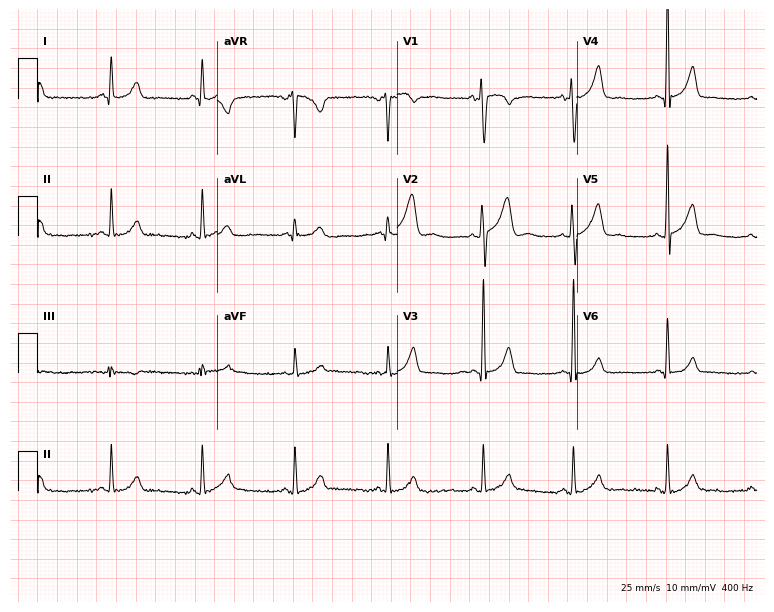
Electrocardiogram (7.3-second recording at 400 Hz), a male, 33 years old. Of the six screened findings (first-degree AV block, right bundle branch block, left bundle branch block, sinus bradycardia, atrial fibrillation, sinus tachycardia), none is recorded.